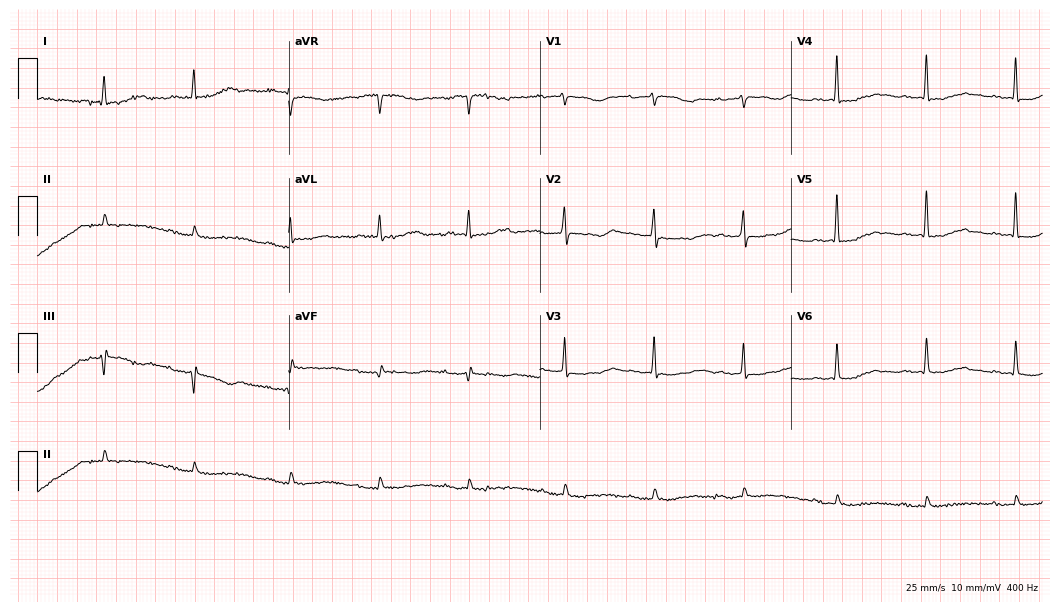
12-lead ECG from a female, 85 years old. Screened for six findings — first-degree AV block, right bundle branch block (RBBB), left bundle branch block (LBBB), sinus bradycardia, atrial fibrillation (AF), sinus tachycardia — none is recorded.